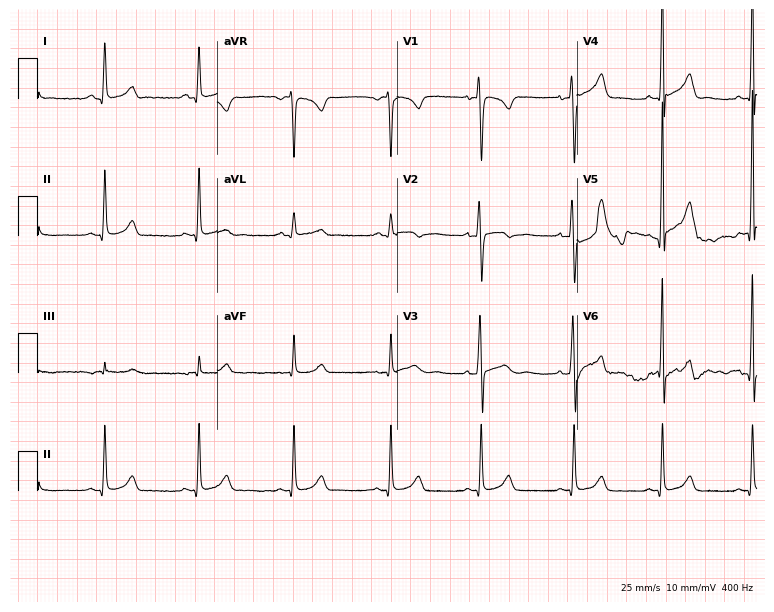
12-lead ECG from a female, 23 years old. Recorded interpretation: within normal limits.